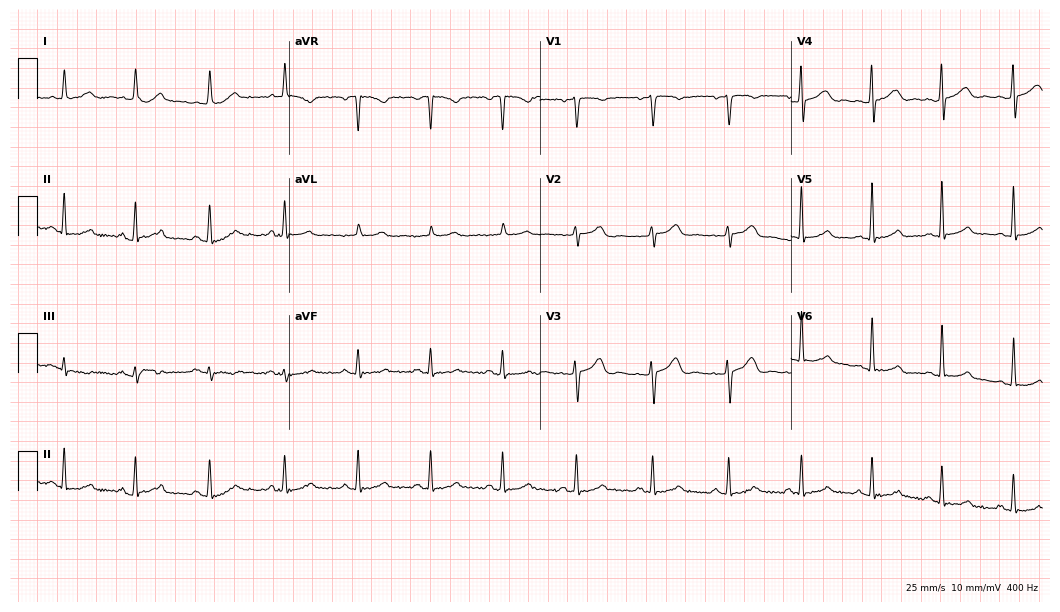
12-lead ECG from a woman, 47 years old. Screened for six findings — first-degree AV block, right bundle branch block (RBBB), left bundle branch block (LBBB), sinus bradycardia, atrial fibrillation (AF), sinus tachycardia — none is recorded.